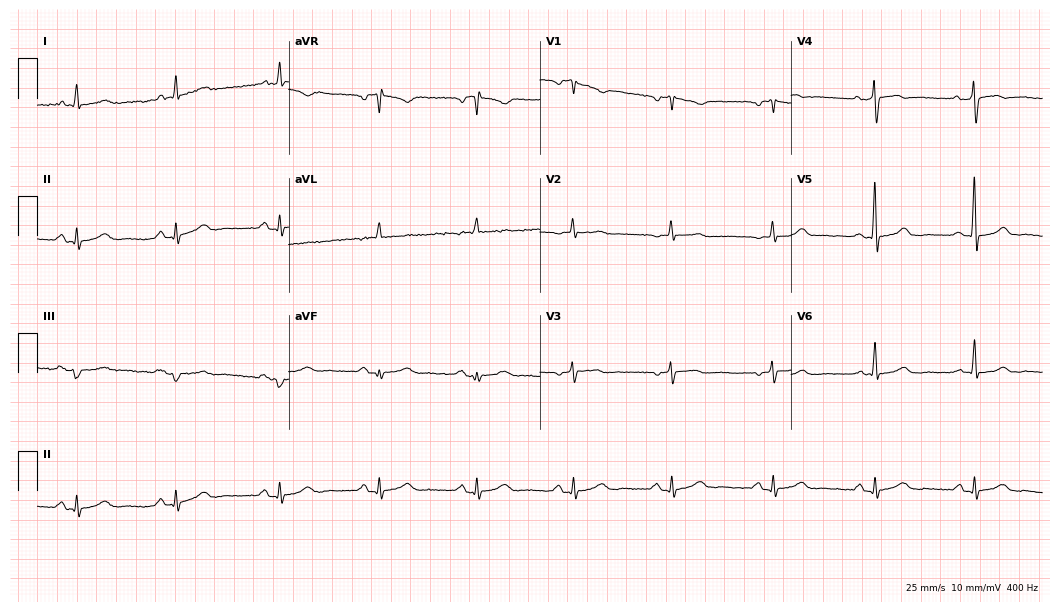
12-lead ECG from a 59-year-old female. Labelled as a normal ECG.